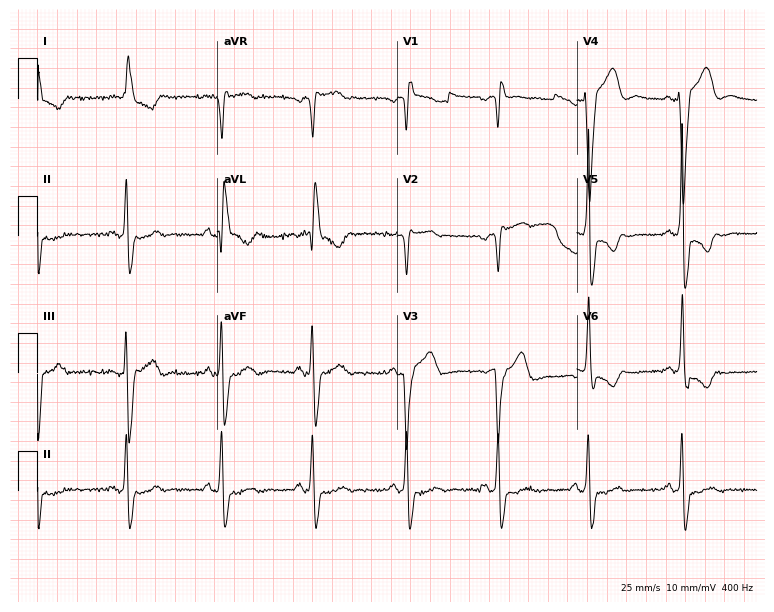
ECG — a woman, 78 years old. Screened for six findings — first-degree AV block, right bundle branch block, left bundle branch block, sinus bradycardia, atrial fibrillation, sinus tachycardia — none is recorded.